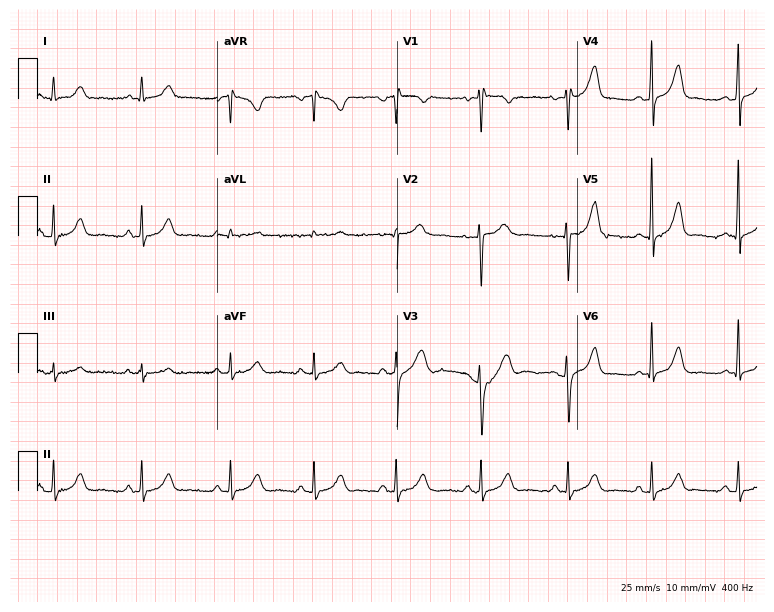
12-lead ECG from a female patient, 21 years old (7.3-second recording at 400 Hz). Recorded interpretation: within normal limits.